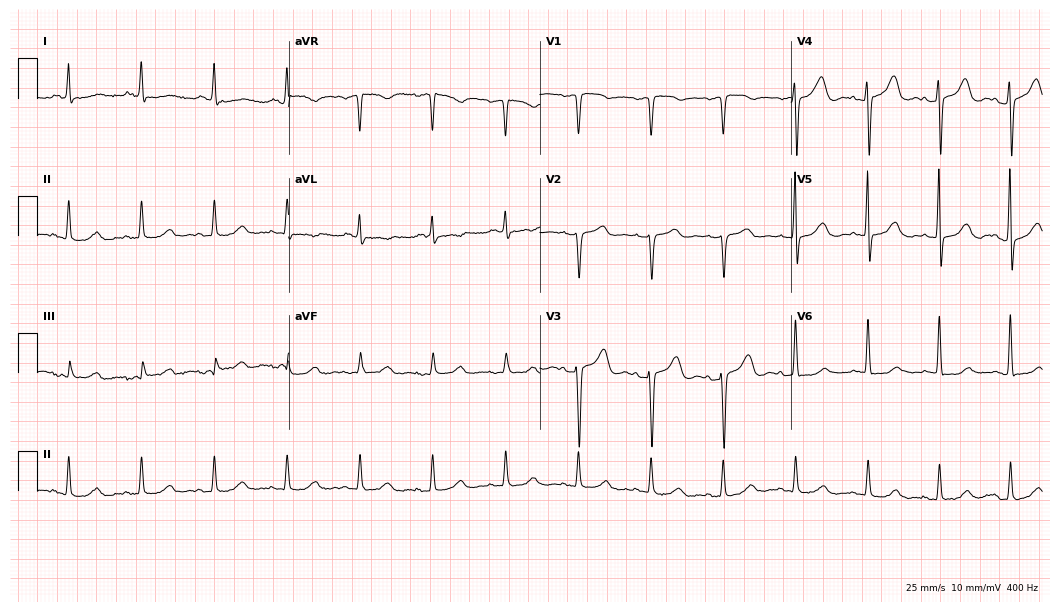
Resting 12-lead electrocardiogram. Patient: a 74-year-old female. None of these six findings is recorded: first-degree AV block, right bundle branch block, left bundle branch block, sinus bradycardia, atrial fibrillation, sinus tachycardia. Only these six findings were labelled.